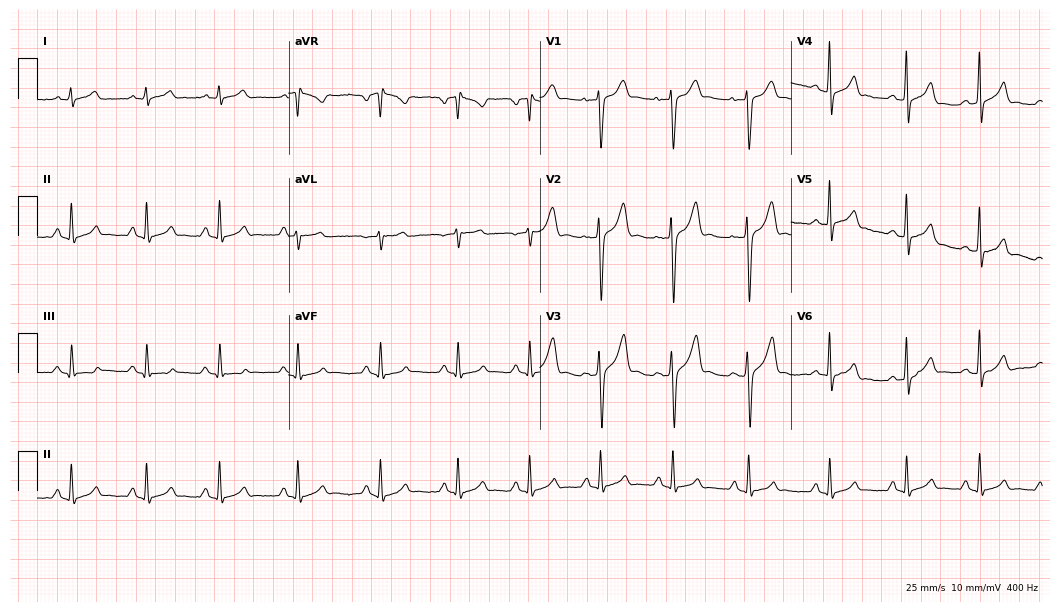
Resting 12-lead electrocardiogram. Patient: a 21-year-old man. Read as a normal ECG.